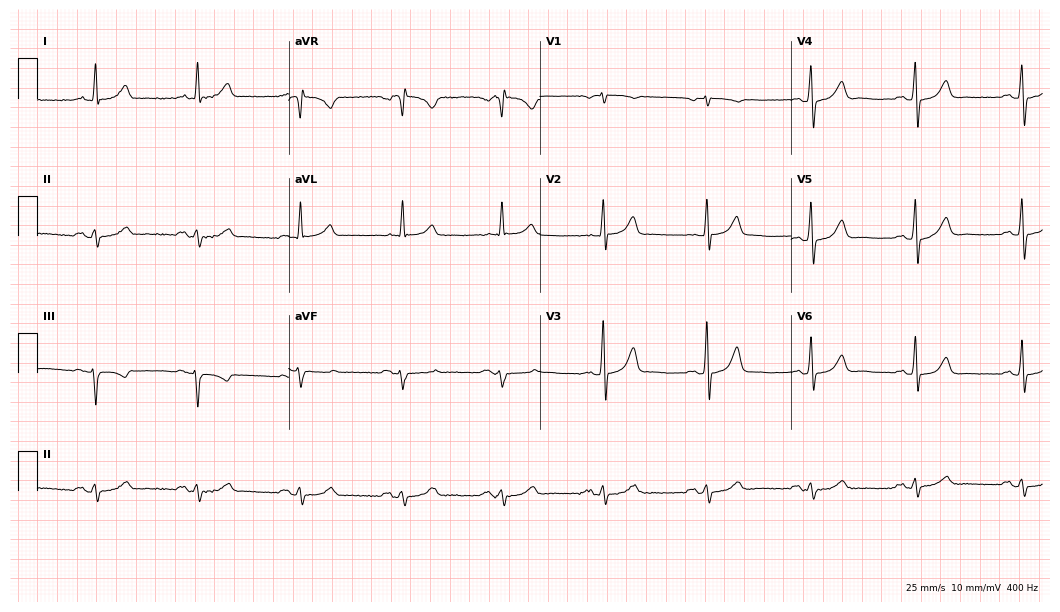
ECG — a 69-year-old man. Screened for six findings — first-degree AV block, right bundle branch block, left bundle branch block, sinus bradycardia, atrial fibrillation, sinus tachycardia — none is recorded.